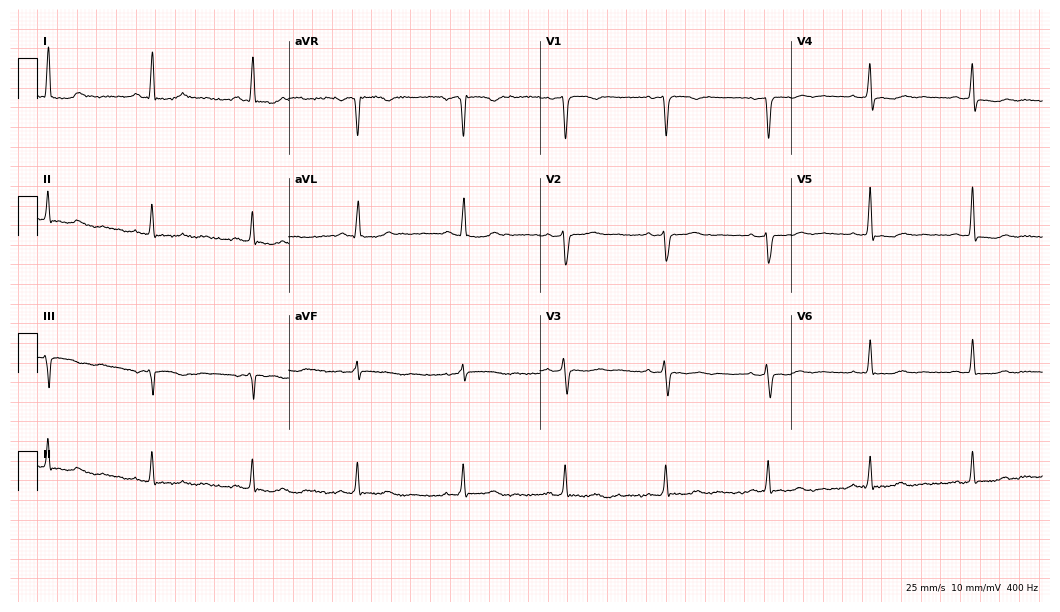
Resting 12-lead electrocardiogram. Patient: a 65-year-old woman. None of these six findings is recorded: first-degree AV block, right bundle branch block, left bundle branch block, sinus bradycardia, atrial fibrillation, sinus tachycardia. Other findings, if any, are not listed.